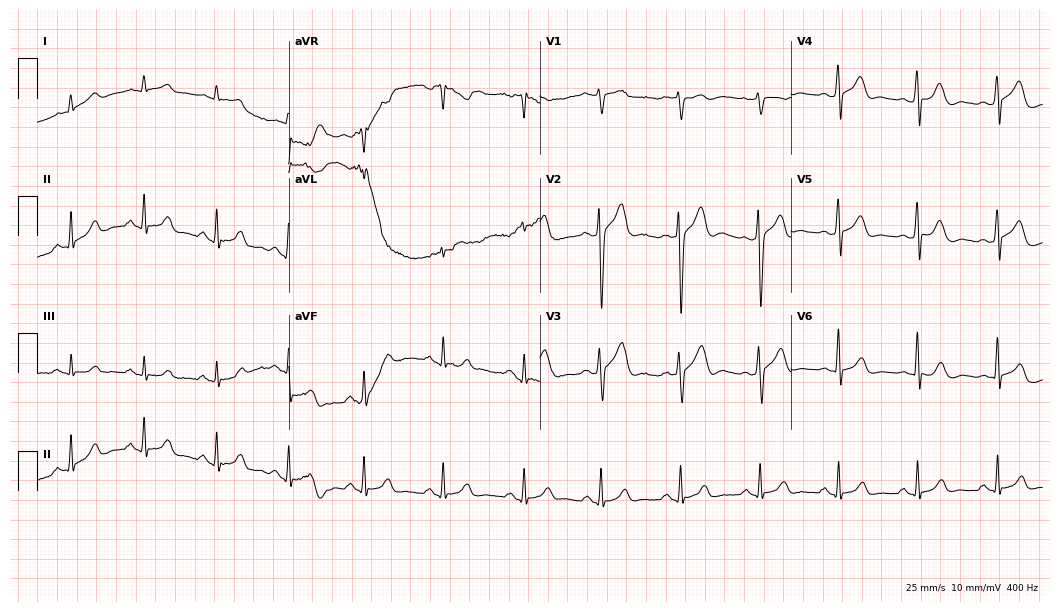
12-lead ECG (10.2-second recording at 400 Hz) from a male, 41 years old. Labelled as a normal ECG.